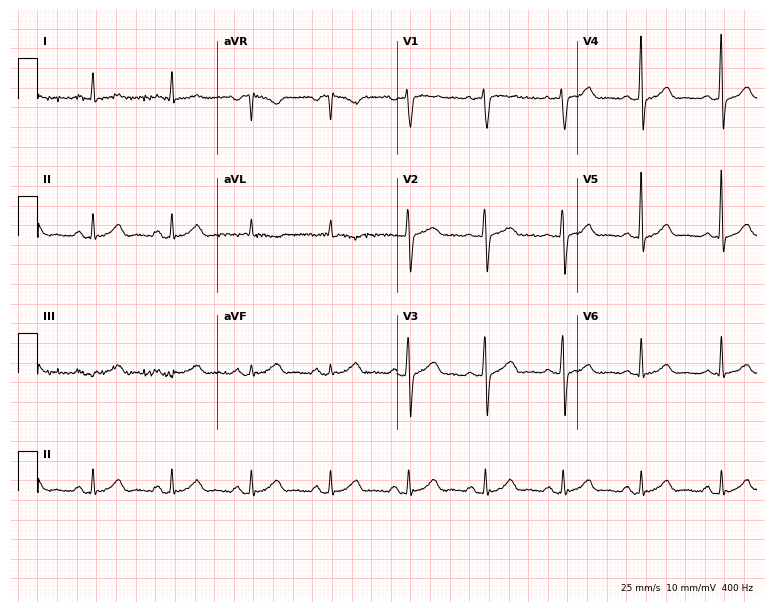
12-lead ECG from a man, 50 years old (7.3-second recording at 400 Hz). Recorded interpretation: within normal limits.